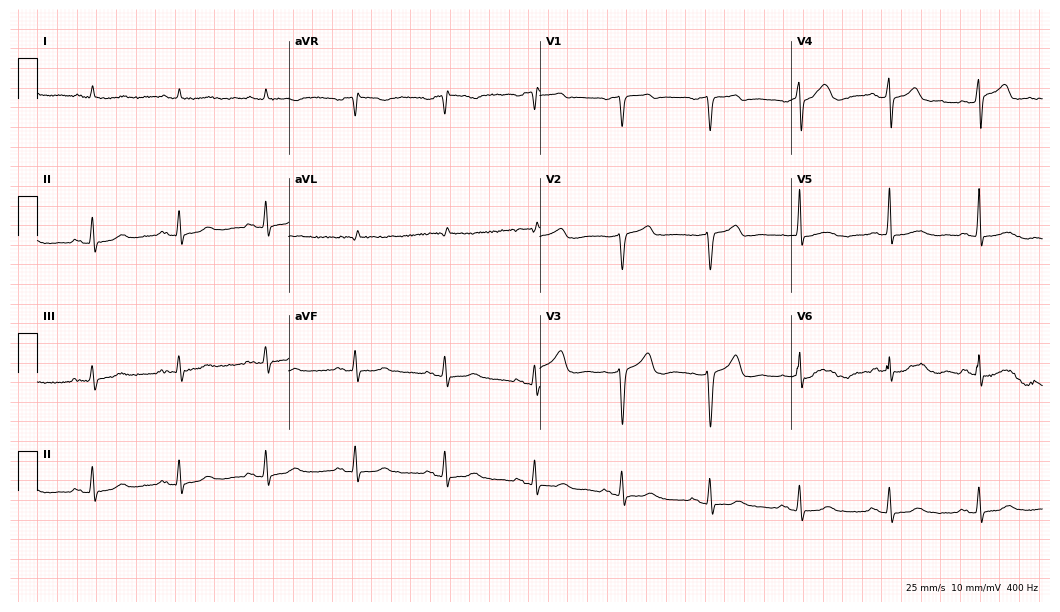
12-lead ECG from a 66-year-old male patient (10.2-second recording at 400 Hz). Recorded interpretation: within normal limits.